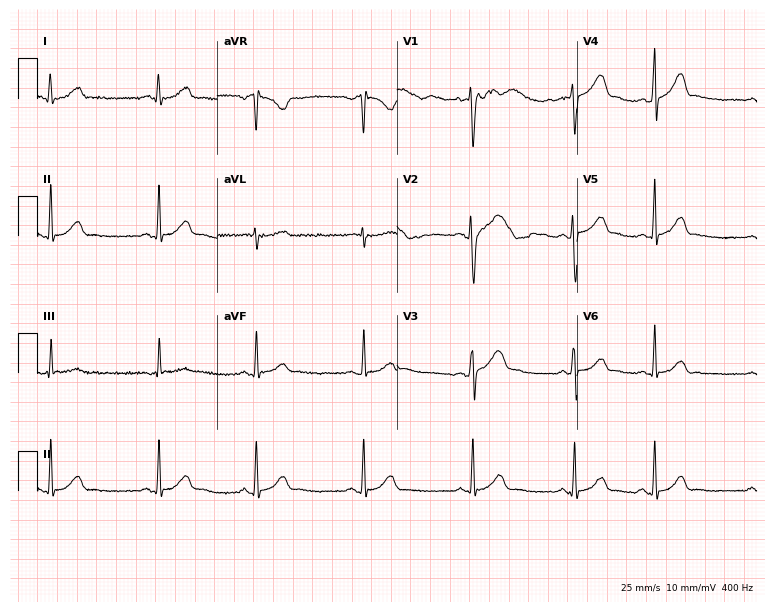
12-lead ECG from a 19-year-old woman. Labelled as a normal ECG.